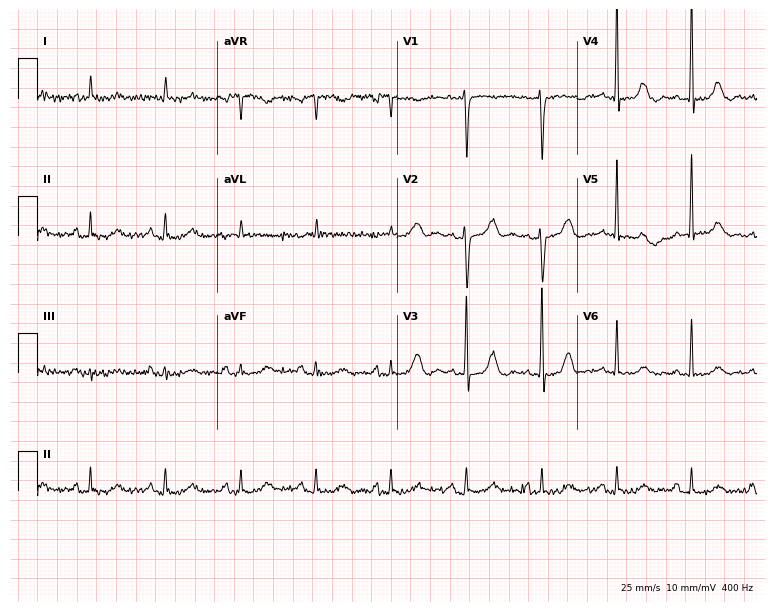
12-lead ECG (7.3-second recording at 400 Hz) from an 83-year-old woman. Screened for six findings — first-degree AV block, right bundle branch block, left bundle branch block, sinus bradycardia, atrial fibrillation, sinus tachycardia — none is recorded.